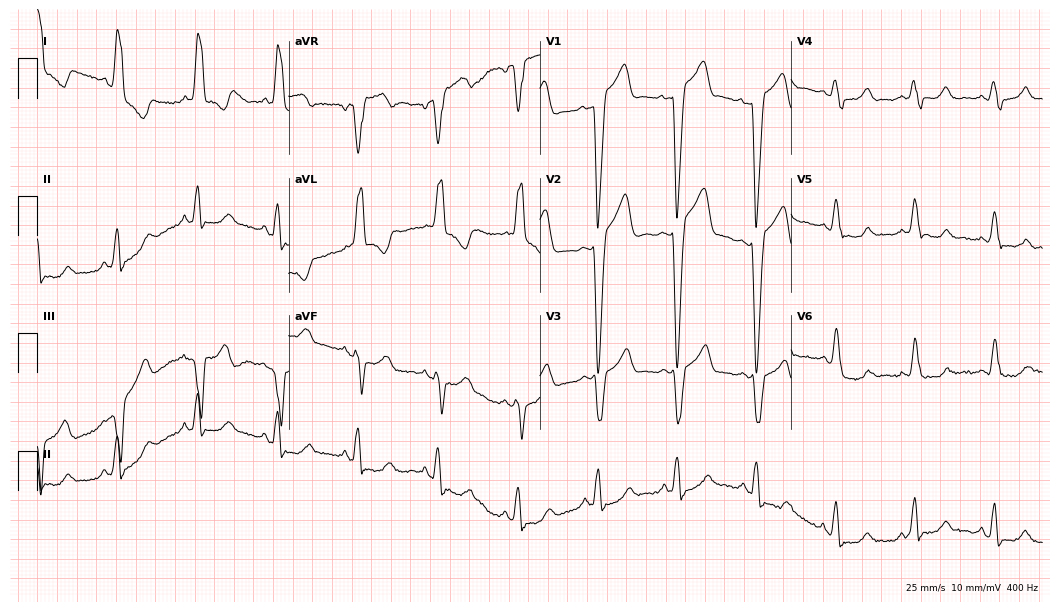
Electrocardiogram, a woman, 77 years old. Interpretation includes left bundle branch block.